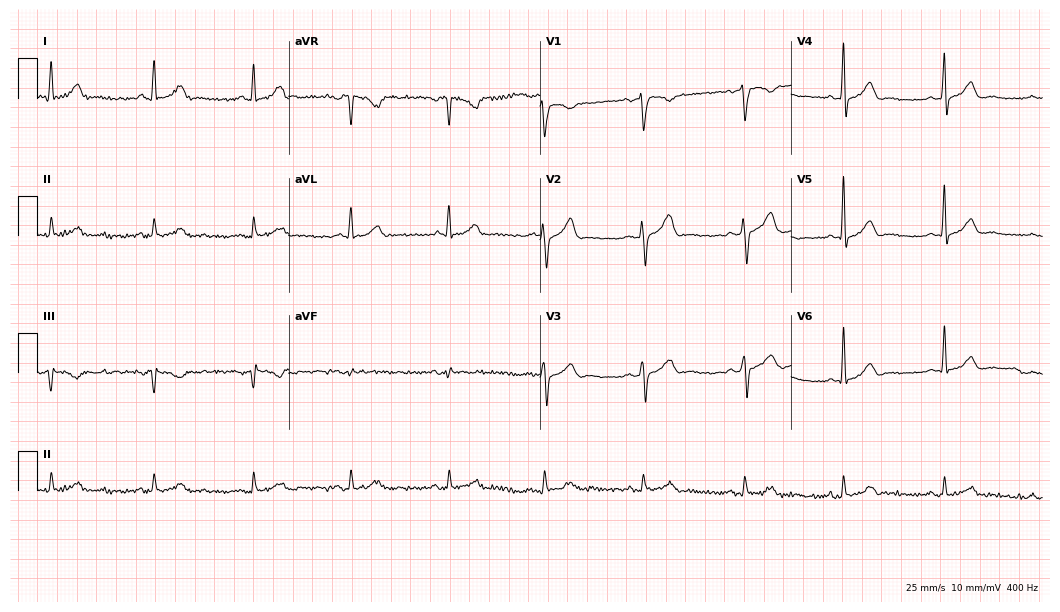
ECG (10.2-second recording at 400 Hz) — a male, 54 years old. Screened for six findings — first-degree AV block, right bundle branch block (RBBB), left bundle branch block (LBBB), sinus bradycardia, atrial fibrillation (AF), sinus tachycardia — none is recorded.